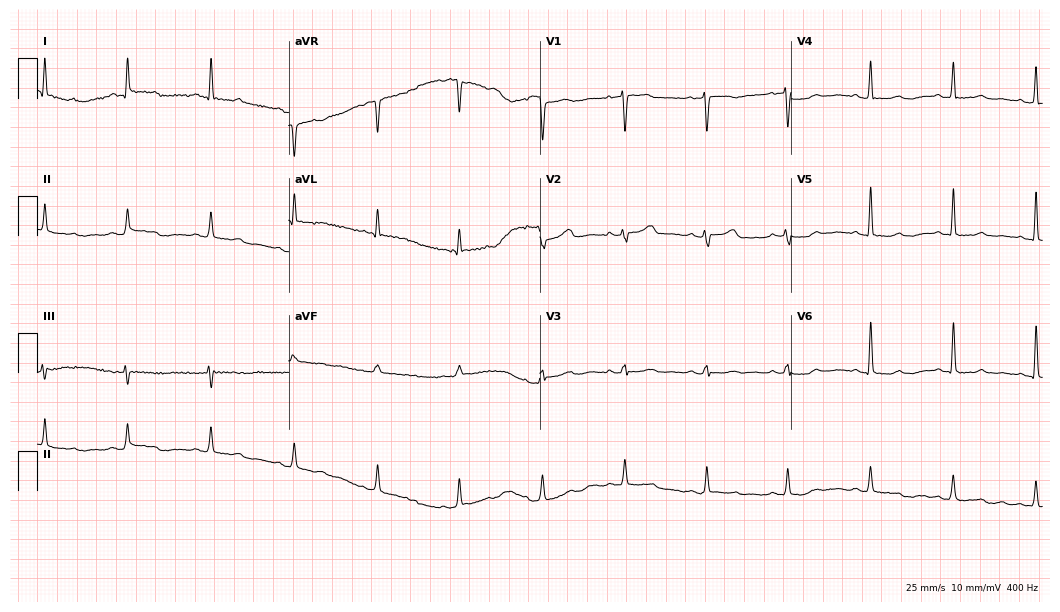
Standard 12-lead ECG recorded from a female patient, 54 years old (10.2-second recording at 400 Hz). None of these six findings is recorded: first-degree AV block, right bundle branch block, left bundle branch block, sinus bradycardia, atrial fibrillation, sinus tachycardia.